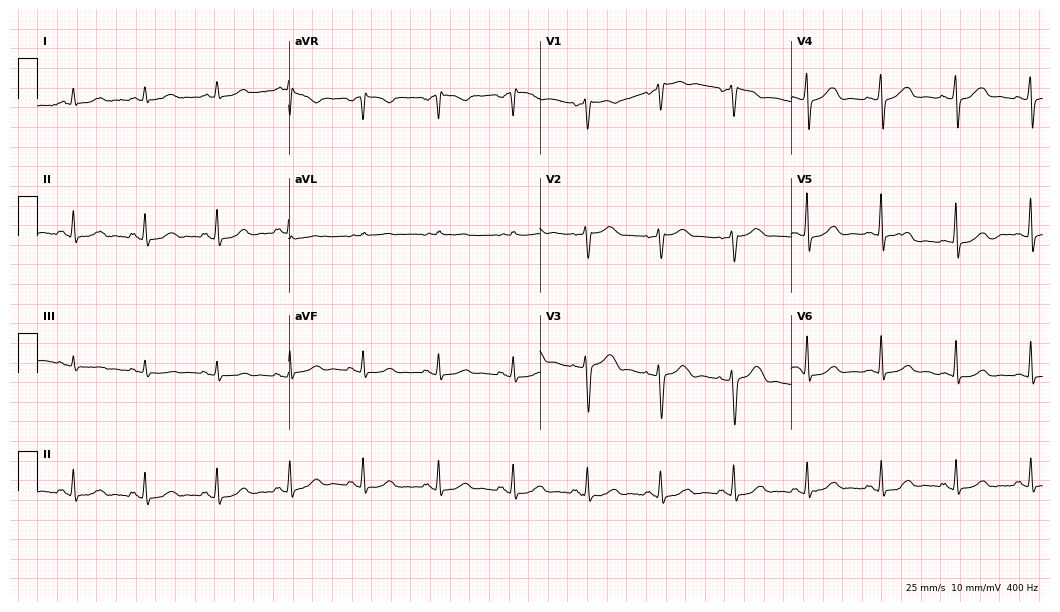
ECG (10.2-second recording at 400 Hz) — a 52-year-old woman. Labelled as a normal ECG.